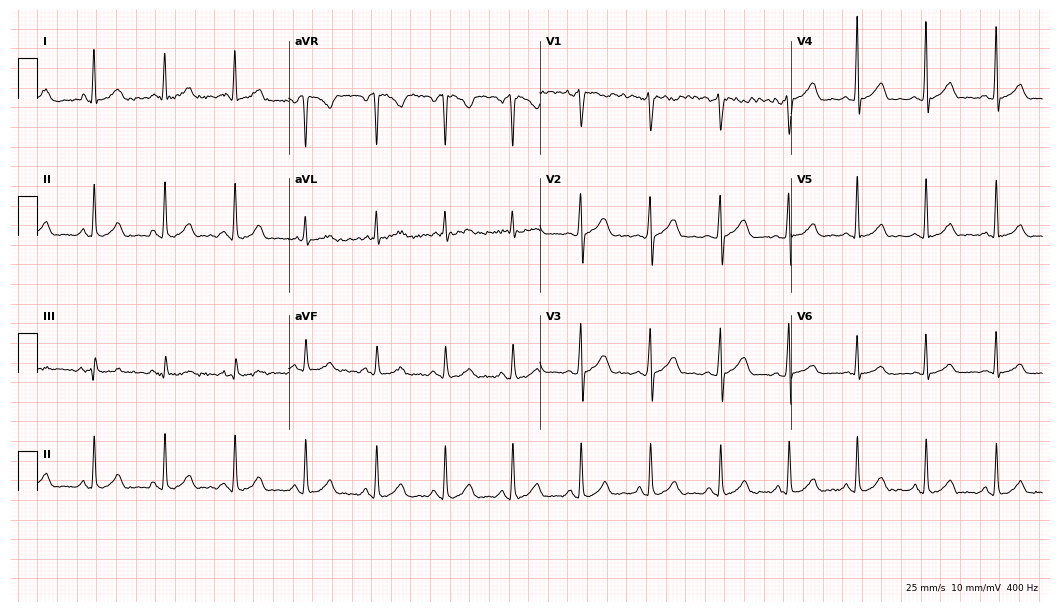
12-lead ECG (10.2-second recording at 400 Hz) from a 29-year-old female patient. Labelled as a normal ECG.